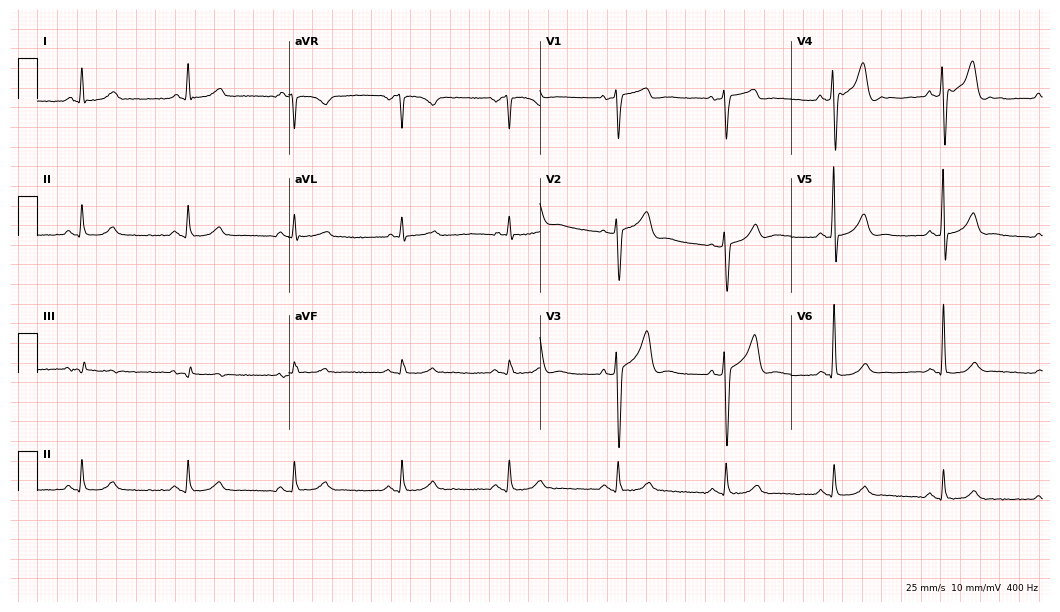
ECG — a 65-year-old male patient. Screened for six findings — first-degree AV block, right bundle branch block, left bundle branch block, sinus bradycardia, atrial fibrillation, sinus tachycardia — none is recorded.